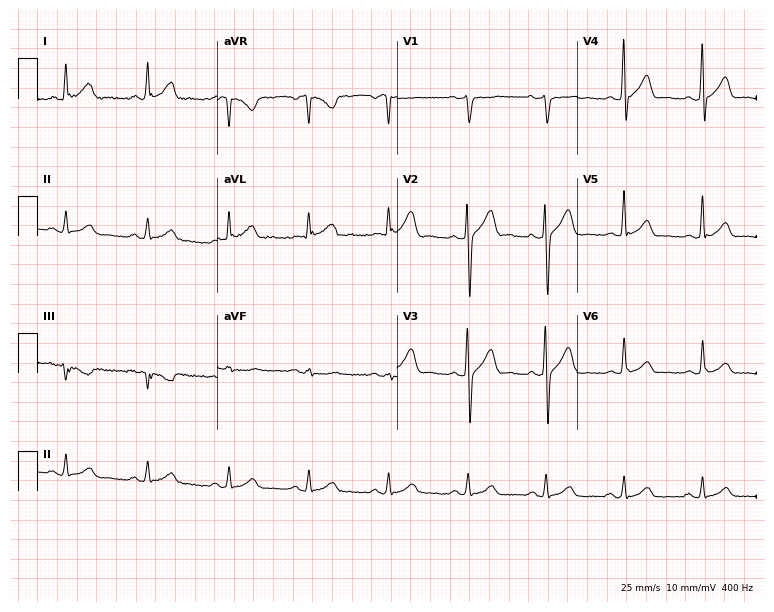
Standard 12-lead ECG recorded from a man, 47 years old. None of these six findings is recorded: first-degree AV block, right bundle branch block, left bundle branch block, sinus bradycardia, atrial fibrillation, sinus tachycardia. Only these six findings were labelled.